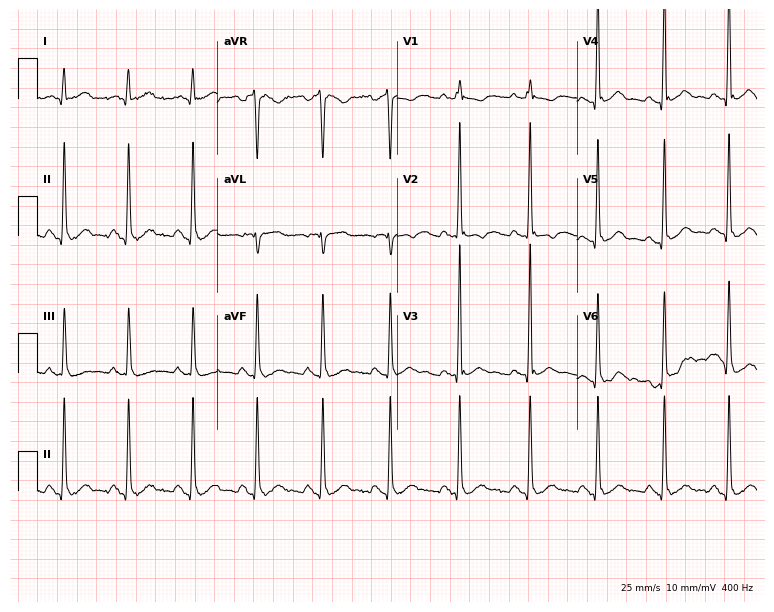
Electrocardiogram, a 20-year-old man. Of the six screened findings (first-degree AV block, right bundle branch block (RBBB), left bundle branch block (LBBB), sinus bradycardia, atrial fibrillation (AF), sinus tachycardia), none is recorded. Only these six findings were labelled.